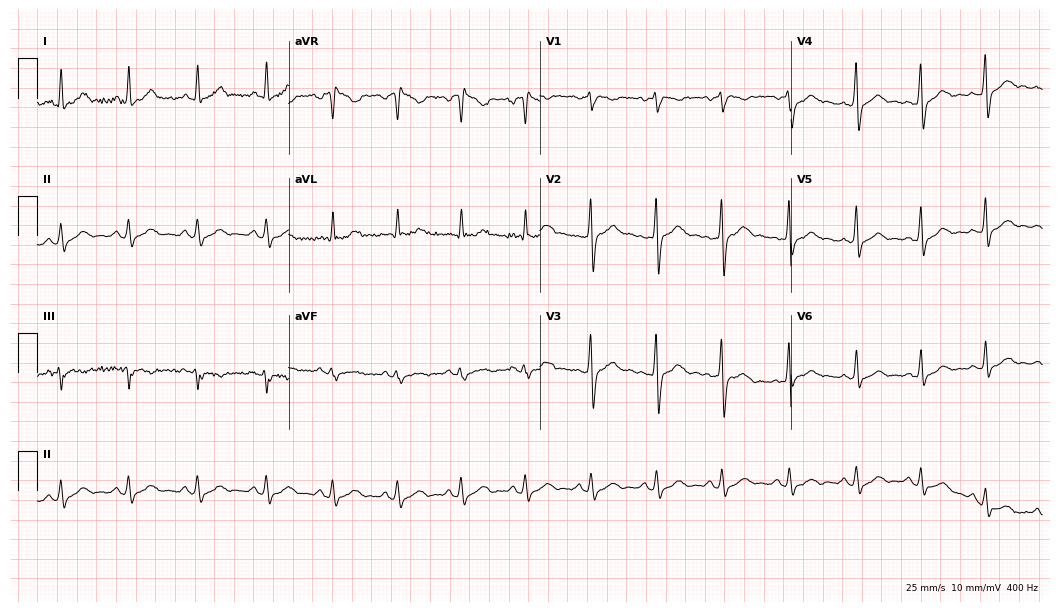
Electrocardiogram, a male patient, 35 years old. Overall reading on record: normal ECG.